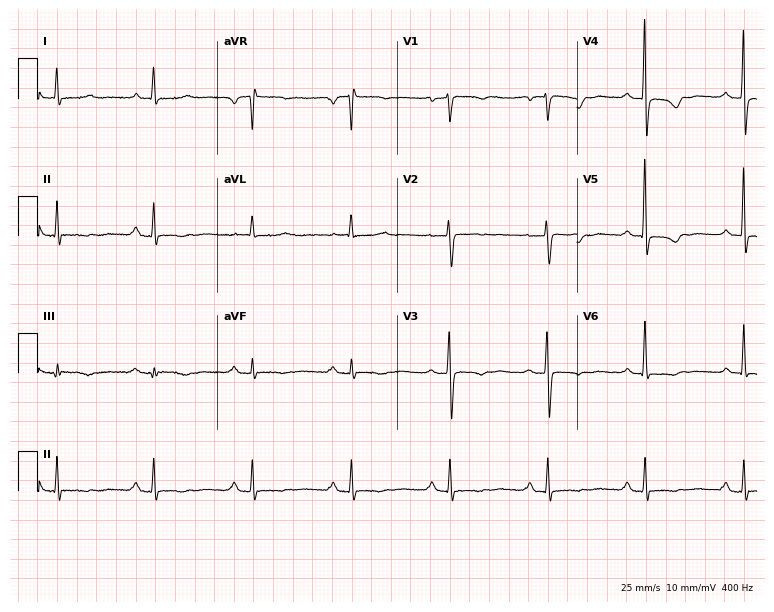
ECG (7.3-second recording at 400 Hz) — a 61-year-old woman. Screened for six findings — first-degree AV block, right bundle branch block (RBBB), left bundle branch block (LBBB), sinus bradycardia, atrial fibrillation (AF), sinus tachycardia — none is recorded.